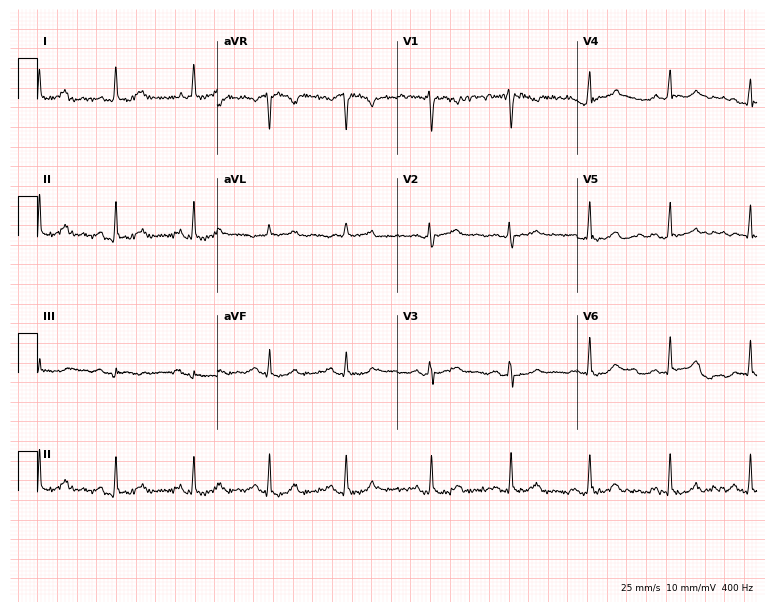
Electrocardiogram (7.3-second recording at 400 Hz), a 43-year-old female. Overall reading on record: normal ECG.